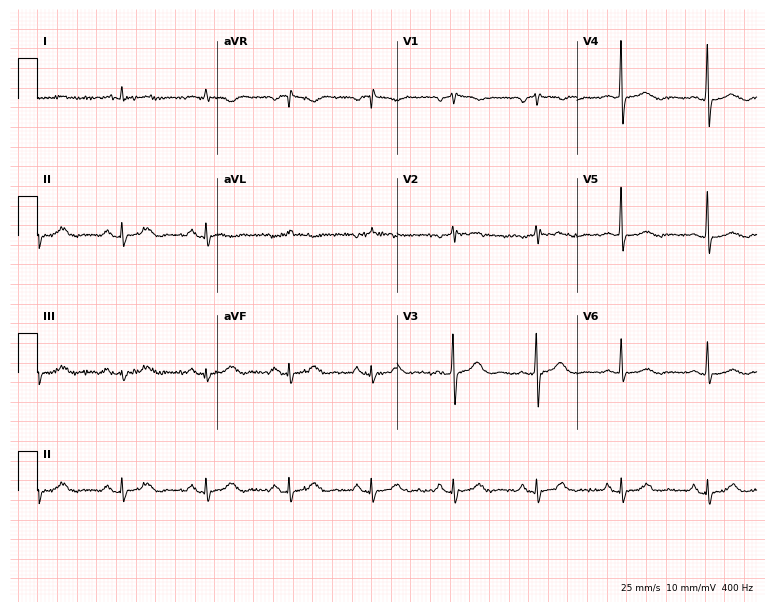
Electrocardiogram (7.3-second recording at 400 Hz), a male, 78 years old. Overall reading on record: normal ECG.